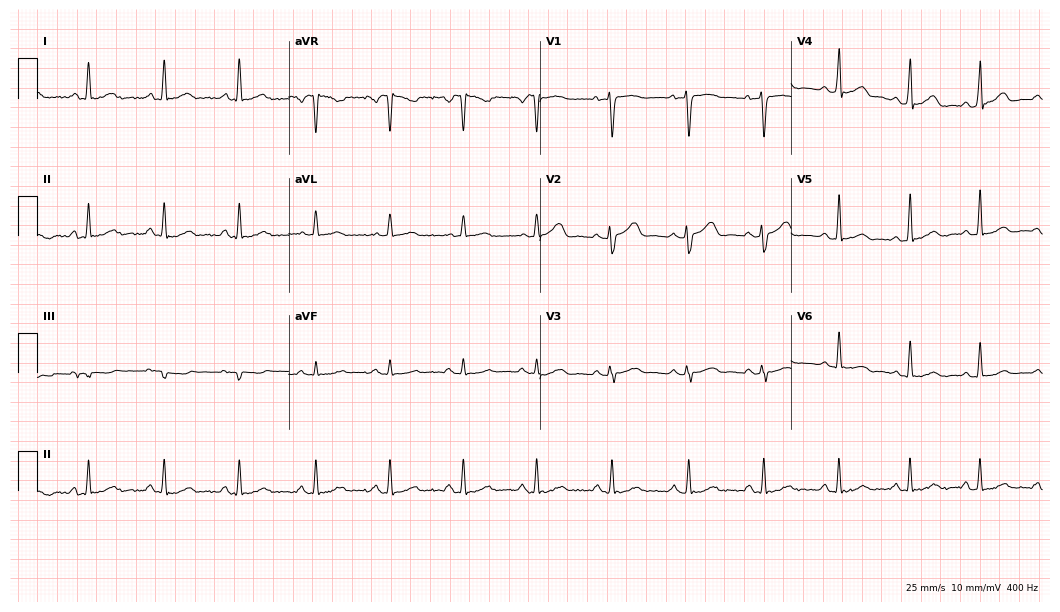
ECG — a 31-year-old female. Labelled as a normal ECG.